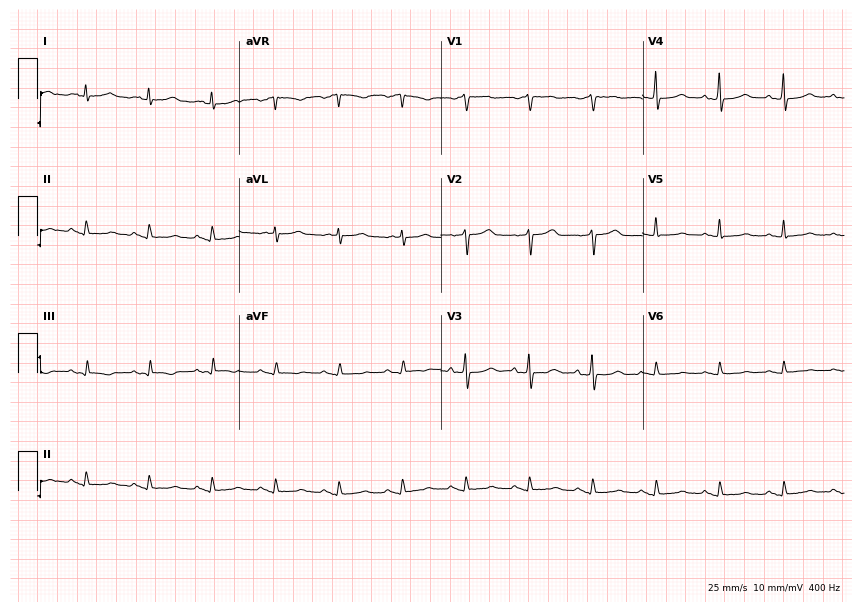
12-lead ECG from a 78-year-old female. No first-degree AV block, right bundle branch block, left bundle branch block, sinus bradycardia, atrial fibrillation or sinus tachycardia recorded for this tracing.